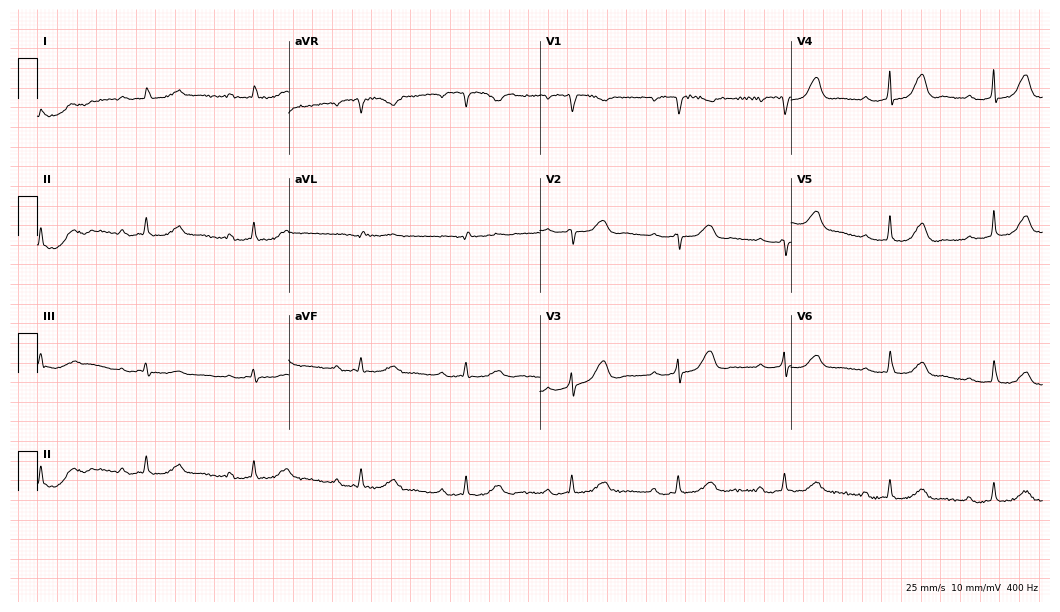
ECG (10.2-second recording at 400 Hz) — a 59-year-old female patient. Findings include first-degree AV block.